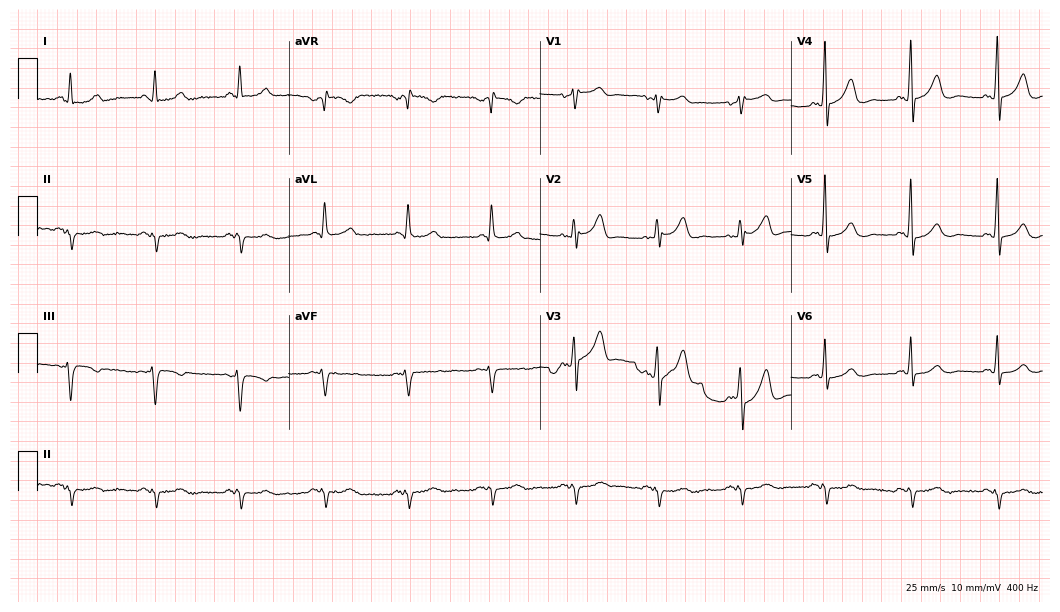
ECG — a male patient, 71 years old. Screened for six findings — first-degree AV block, right bundle branch block, left bundle branch block, sinus bradycardia, atrial fibrillation, sinus tachycardia — none is recorded.